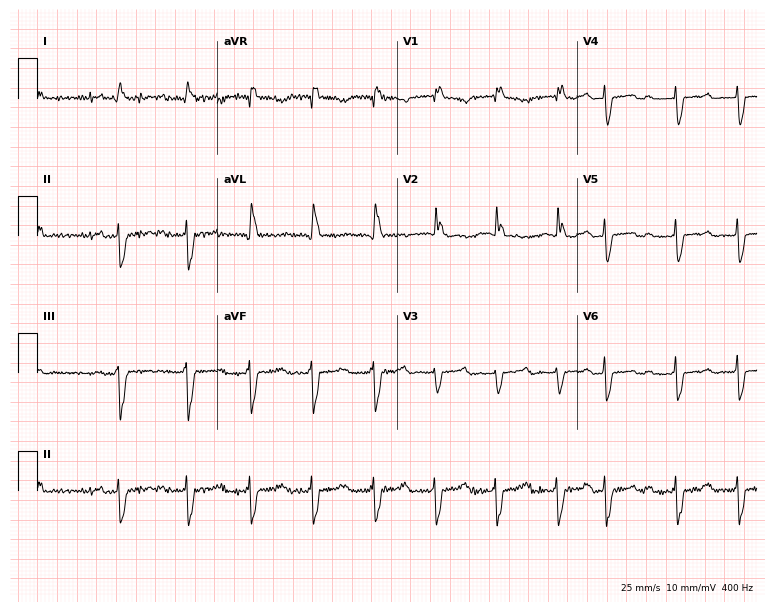
Standard 12-lead ECG recorded from a 58-year-old female (7.3-second recording at 400 Hz). The tracing shows right bundle branch block (RBBB).